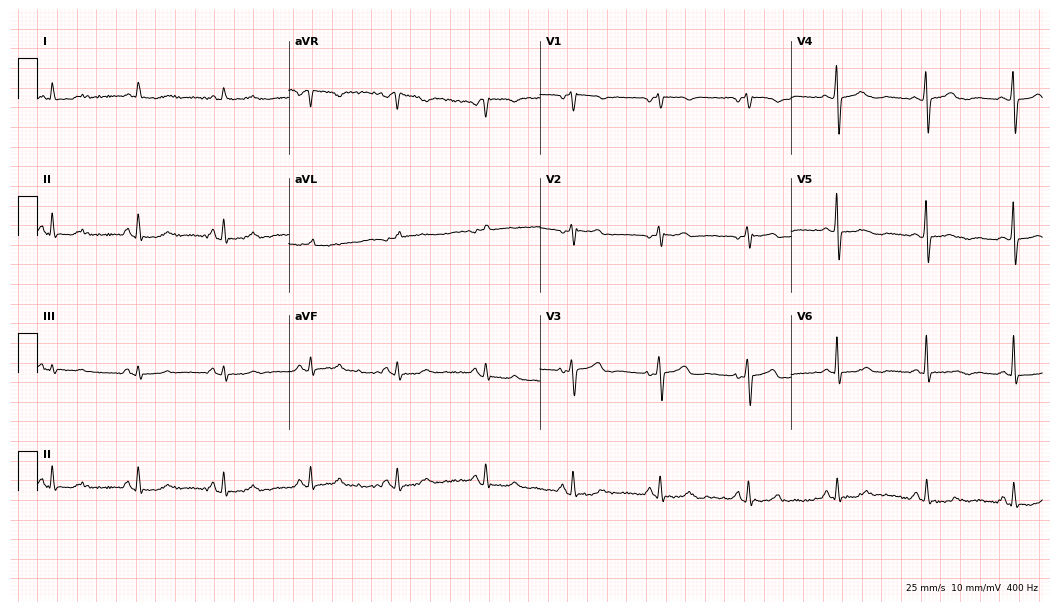
12-lead ECG from a 69-year-old female patient (10.2-second recording at 400 Hz). No first-degree AV block, right bundle branch block (RBBB), left bundle branch block (LBBB), sinus bradycardia, atrial fibrillation (AF) or sinus tachycardia recorded for this tracing. Findings outside these six are not listed.